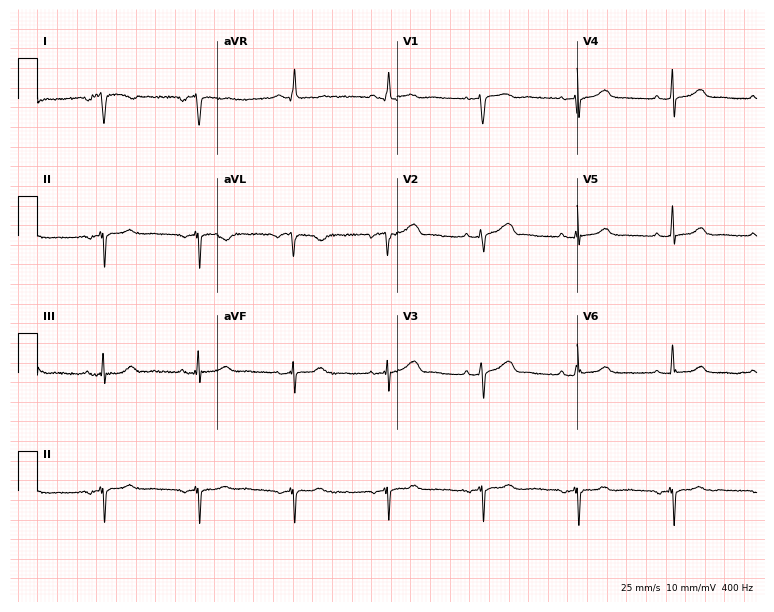
Resting 12-lead electrocardiogram (7.3-second recording at 400 Hz). Patient: a female, 57 years old. None of these six findings is recorded: first-degree AV block, right bundle branch block (RBBB), left bundle branch block (LBBB), sinus bradycardia, atrial fibrillation (AF), sinus tachycardia.